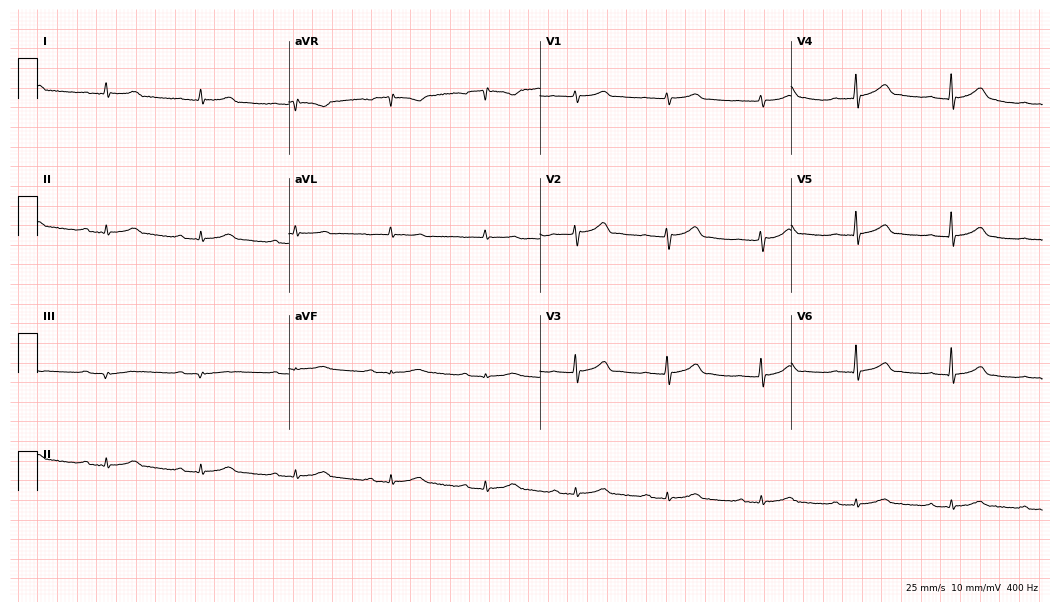
Electrocardiogram (10.2-second recording at 400 Hz), a male patient, 71 years old. Interpretation includes first-degree AV block.